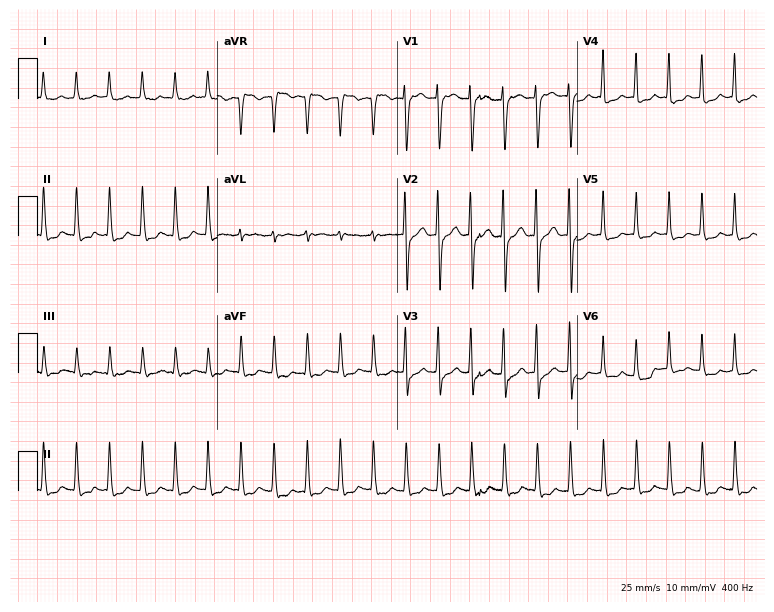
12-lead ECG from a female patient, 50 years old. Shows sinus tachycardia (a sinus rate of 100 beats per minute or more).